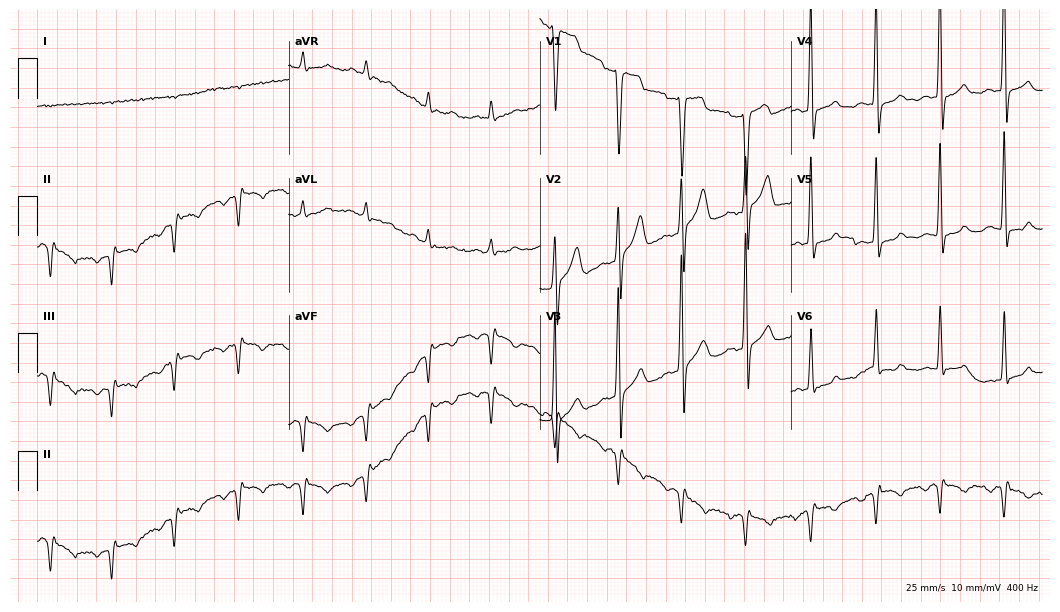
12-lead ECG from a male, 38 years old. Screened for six findings — first-degree AV block, right bundle branch block, left bundle branch block, sinus bradycardia, atrial fibrillation, sinus tachycardia — none is recorded.